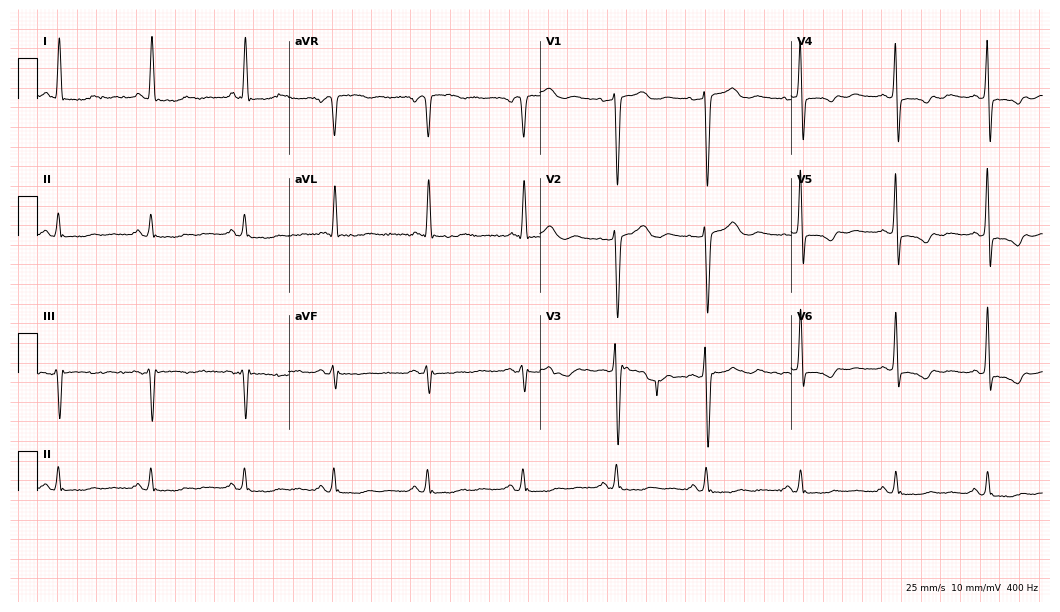
12-lead ECG from a 52-year-old female patient. No first-degree AV block, right bundle branch block, left bundle branch block, sinus bradycardia, atrial fibrillation or sinus tachycardia recorded for this tracing.